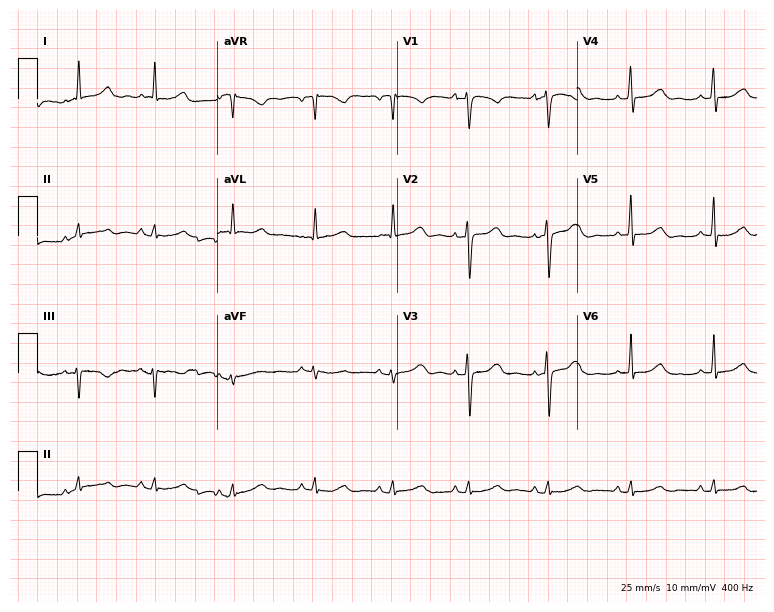
12-lead ECG (7.3-second recording at 400 Hz) from a female patient, 70 years old. Screened for six findings — first-degree AV block, right bundle branch block (RBBB), left bundle branch block (LBBB), sinus bradycardia, atrial fibrillation (AF), sinus tachycardia — none is recorded.